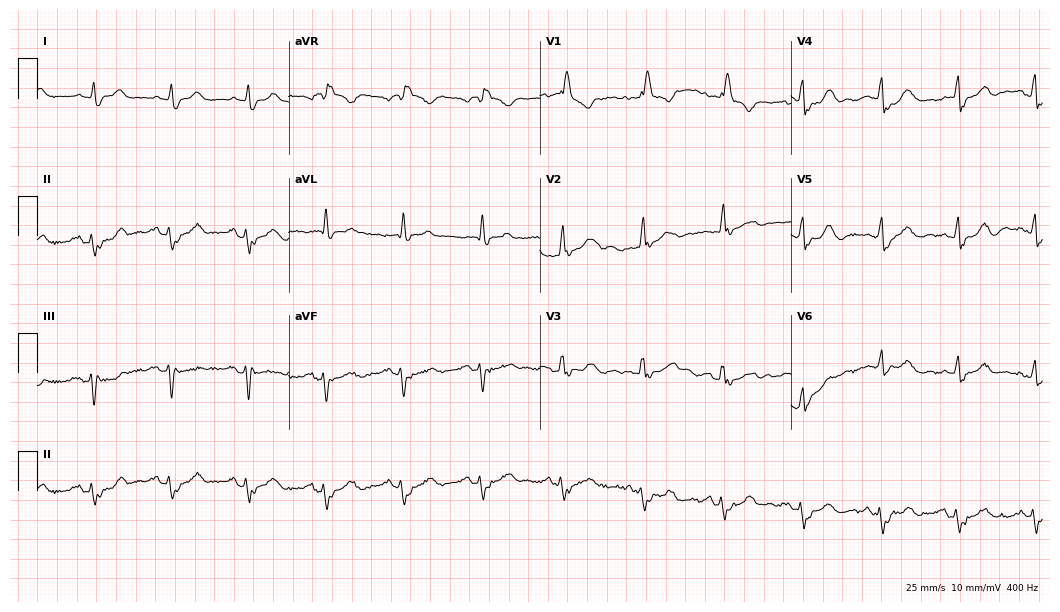
Electrocardiogram (10.2-second recording at 400 Hz), an 83-year-old woman. Interpretation includes right bundle branch block.